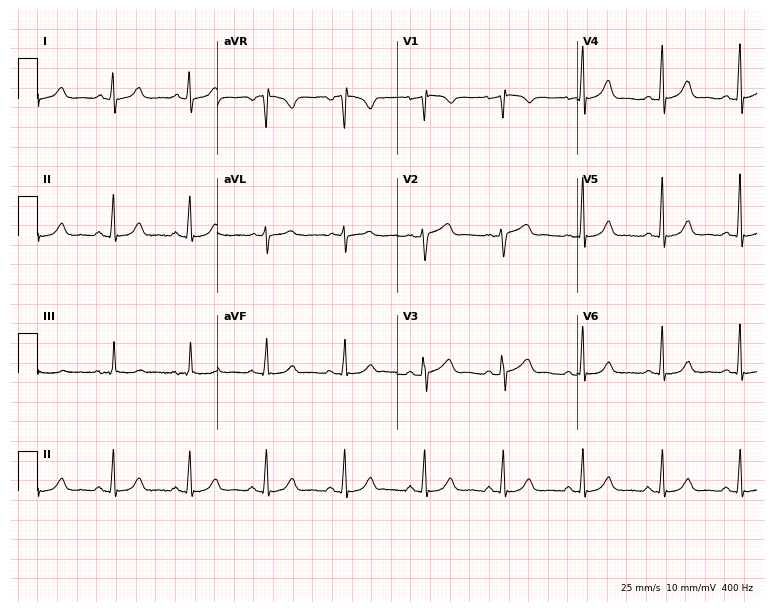
Standard 12-lead ECG recorded from a 51-year-old woman. Read as a normal ECG.